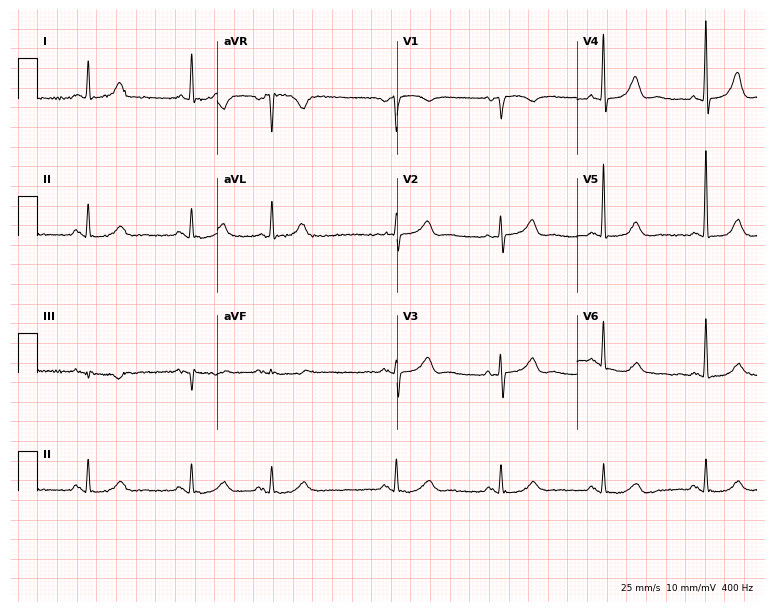
Electrocardiogram (7.3-second recording at 400 Hz), a male, 84 years old. Overall reading on record: normal ECG.